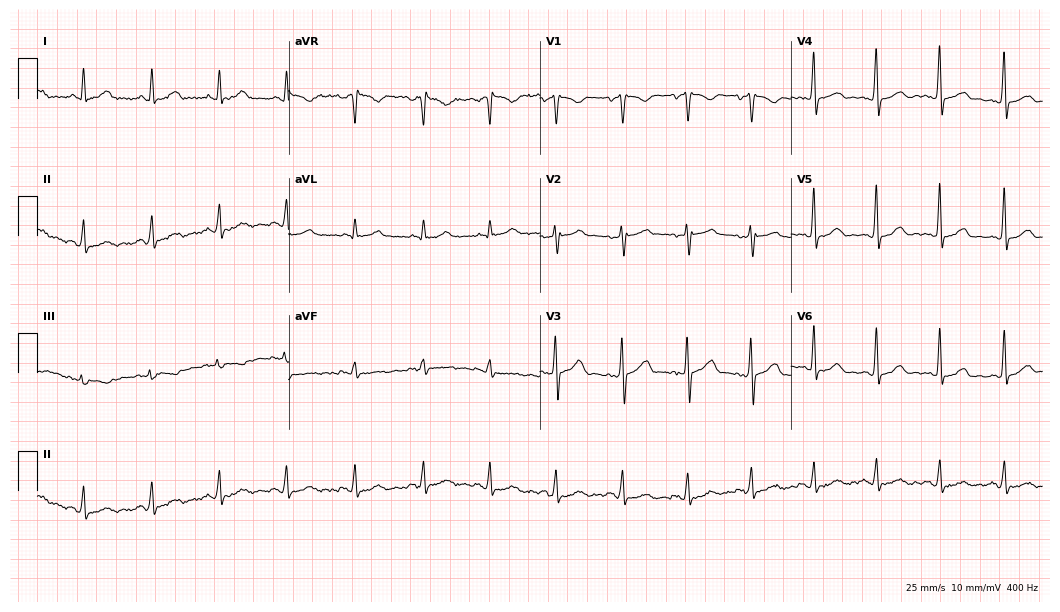
ECG — a 46-year-old woman. Labelled as a normal ECG.